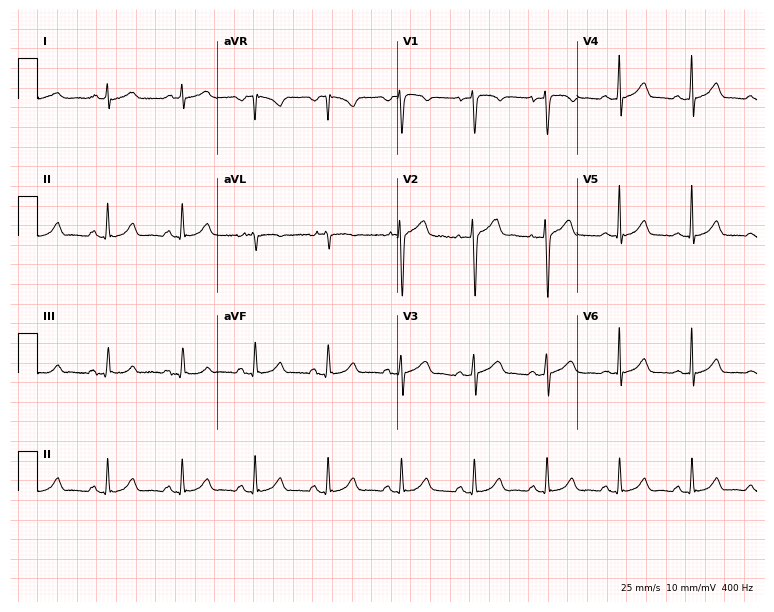
ECG (7.3-second recording at 400 Hz) — a male, 39 years old. Screened for six findings — first-degree AV block, right bundle branch block (RBBB), left bundle branch block (LBBB), sinus bradycardia, atrial fibrillation (AF), sinus tachycardia — none is recorded. Findings outside these six are not listed.